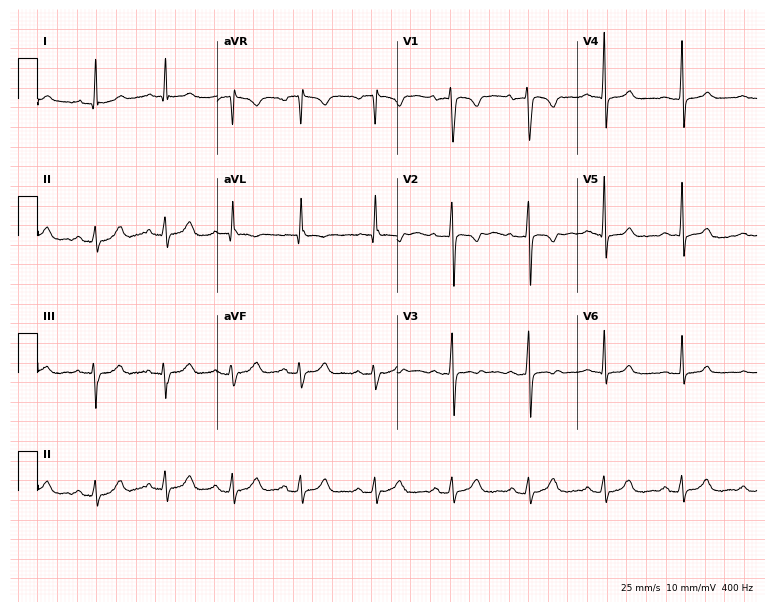
ECG — a 48-year-old female patient. Screened for six findings — first-degree AV block, right bundle branch block (RBBB), left bundle branch block (LBBB), sinus bradycardia, atrial fibrillation (AF), sinus tachycardia — none is recorded.